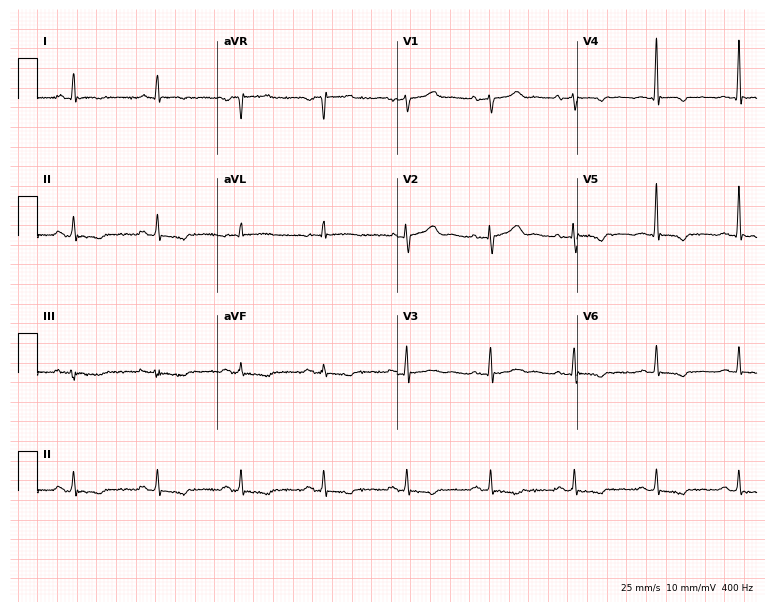
Standard 12-lead ECG recorded from a 28-year-old female (7.3-second recording at 400 Hz). Read as a normal ECG.